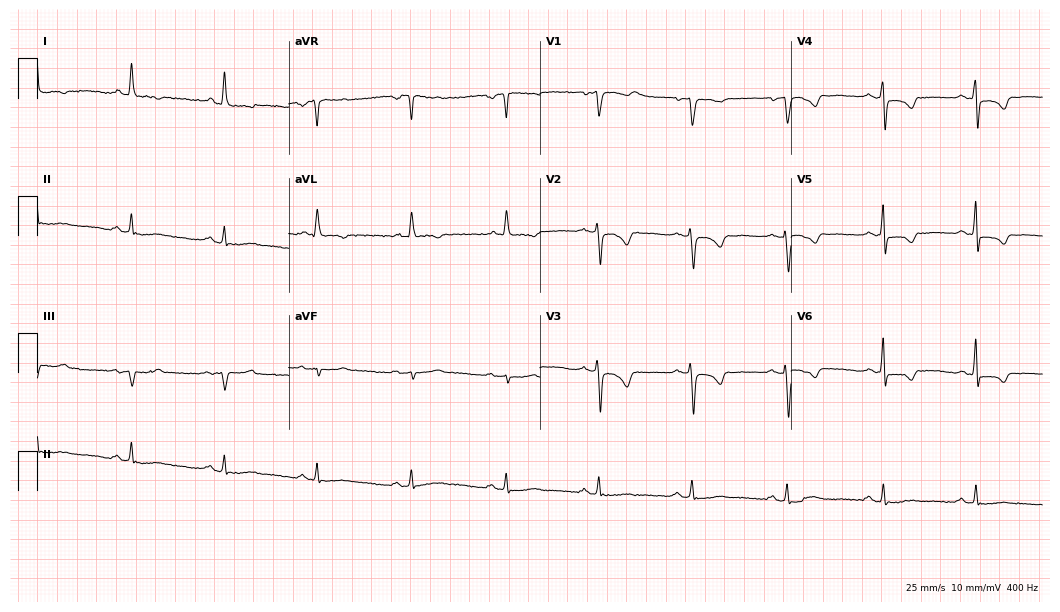
ECG (10.2-second recording at 400 Hz) — a woman, 58 years old. Screened for six findings — first-degree AV block, right bundle branch block, left bundle branch block, sinus bradycardia, atrial fibrillation, sinus tachycardia — none is recorded. Other findings, if any, are not listed.